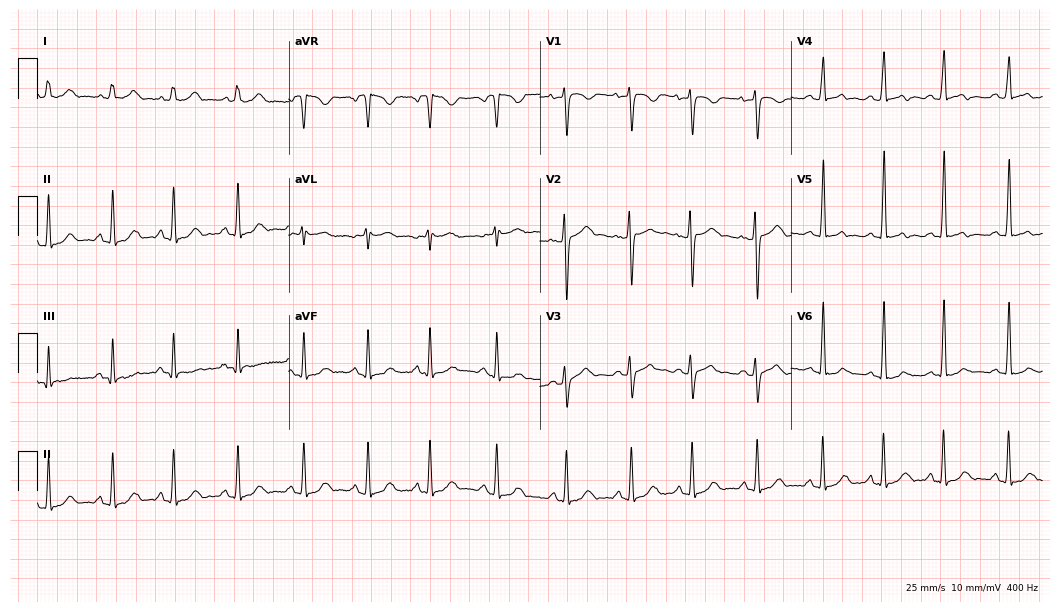
ECG — a 20-year-old woman. Labelled as a normal ECG.